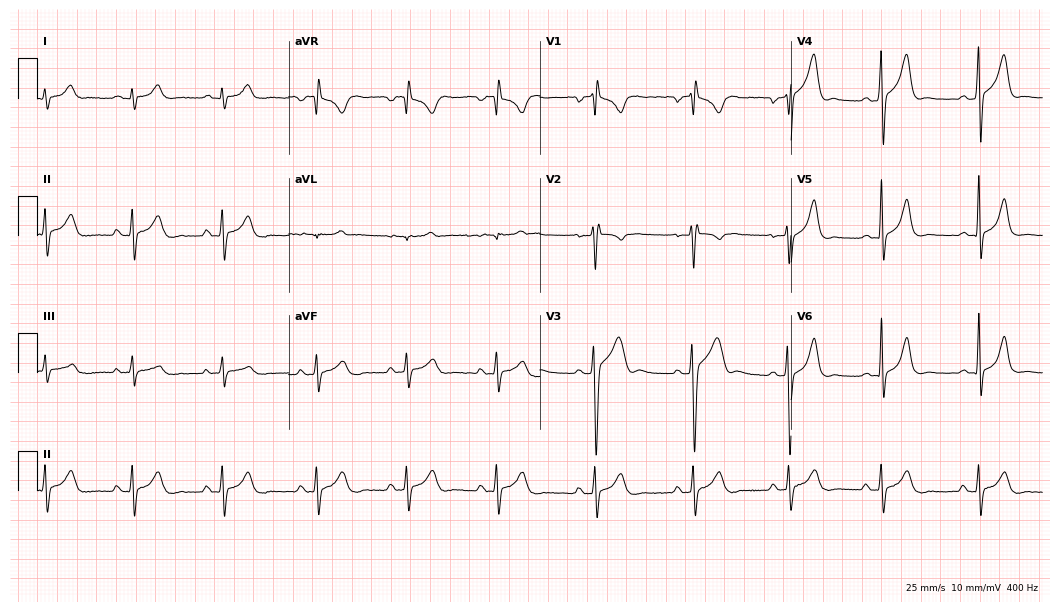
Resting 12-lead electrocardiogram. Patient: a man, 21 years old. None of these six findings is recorded: first-degree AV block, right bundle branch block, left bundle branch block, sinus bradycardia, atrial fibrillation, sinus tachycardia.